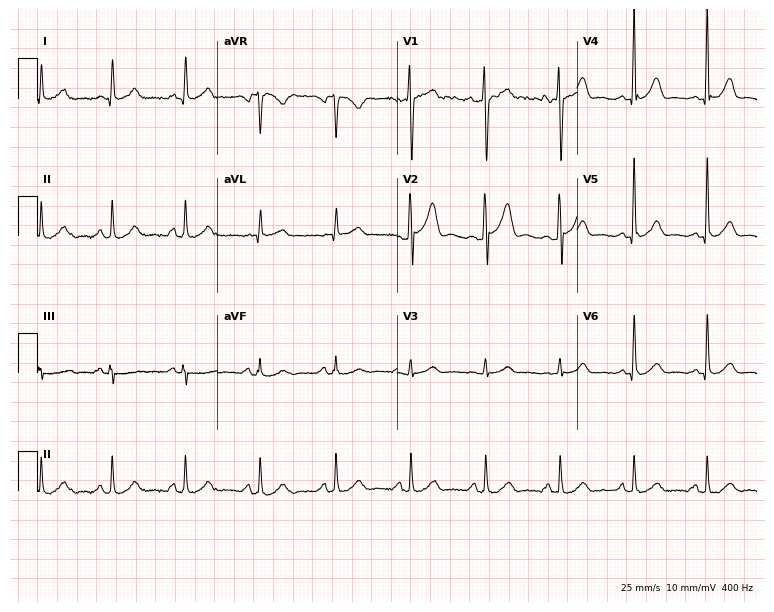
Resting 12-lead electrocardiogram (7.3-second recording at 400 Hz). Patient: a 29-year-old male. Read as a normal ECG.